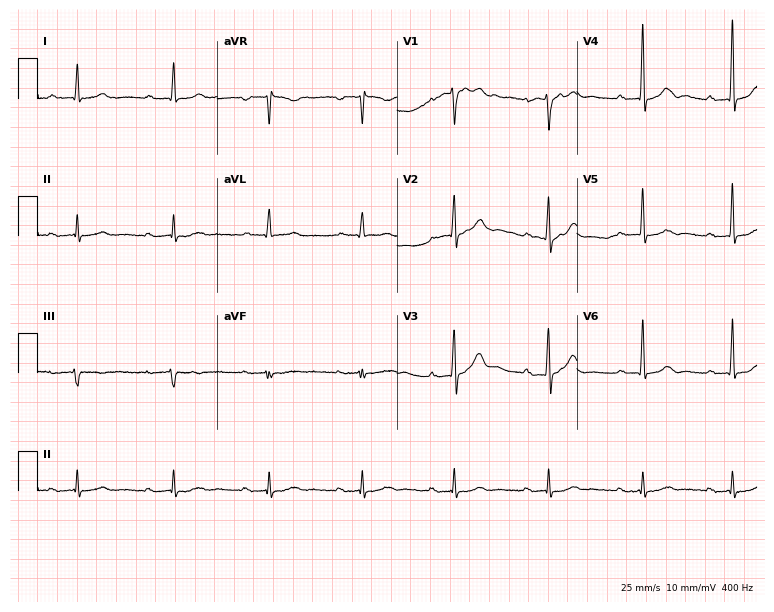
Electrocardiogram, a man, 67 years old. Interpretation includes first-degree AV block.